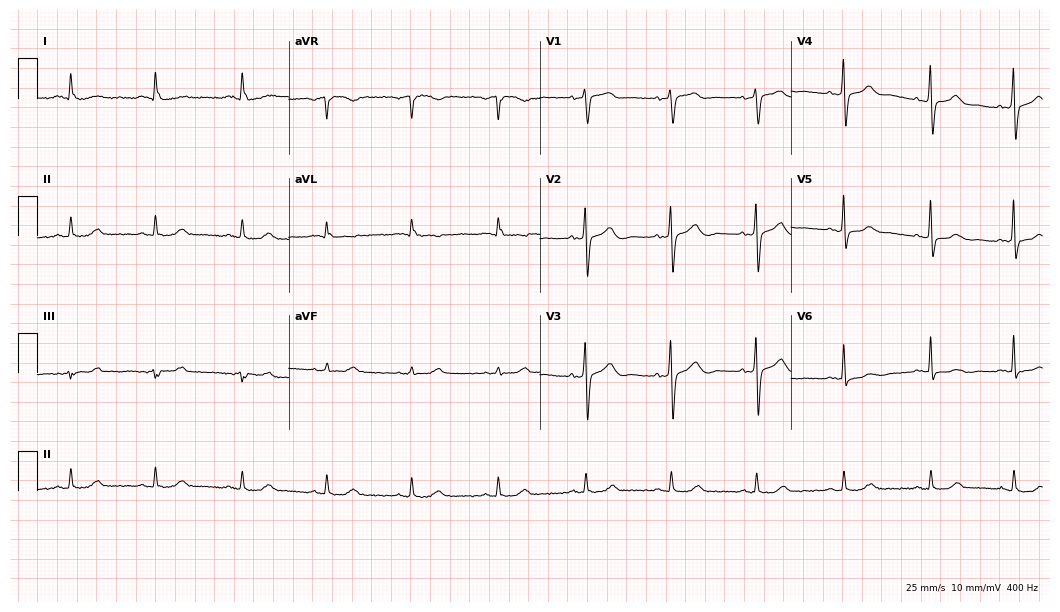
Resting 12-lead electrocardiogram (10.2-second recording at 400 Hz). Patient: a 76-year-old woman. None of these six findings is recorded: first-degree AV block, right bundle branch block (RBBB), left bundle branch block (LBBB), sinus bradycardia, atrial fibrillation (AF), sinus tachycardia. Other findings, if any, are not listed.